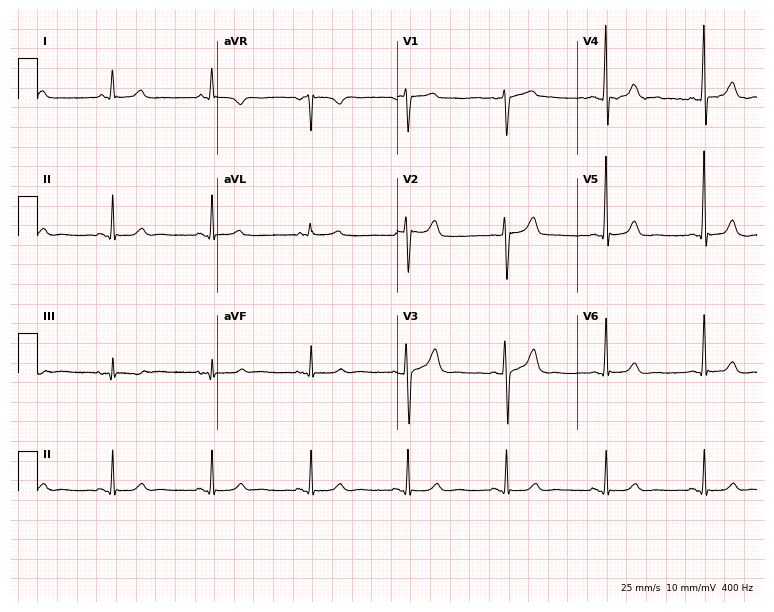
Electrocardiogram, a 67-year-old woman. Overall reading on record: normal ECG.